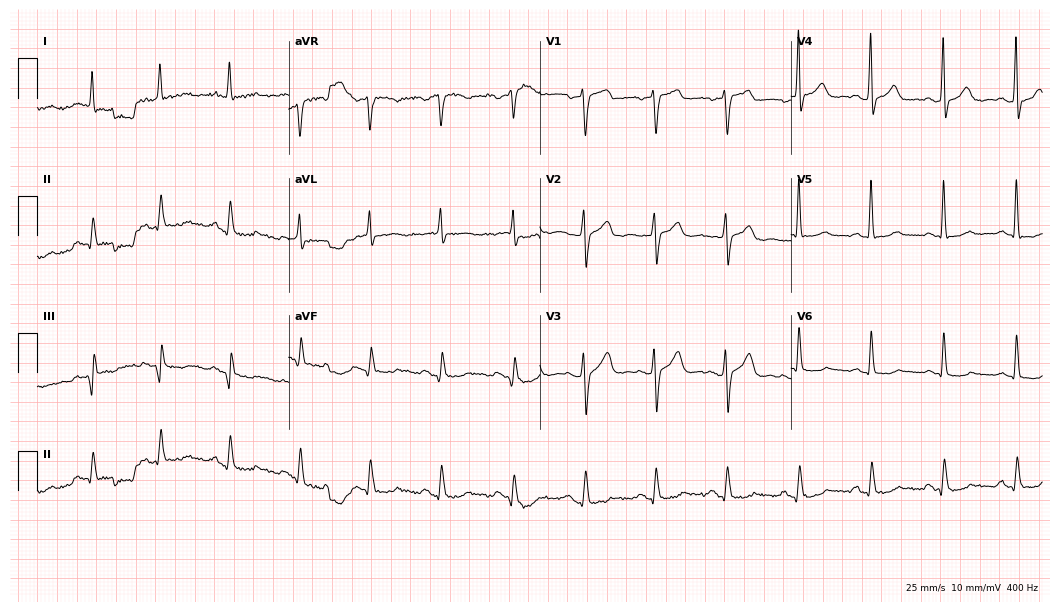
Electrocardiogram (10.2-second recording at 400 Hz), a male patient, 65 years old. Of the six screened findings (first-degree AV block, right bundle branch block, left bundle branch block, sinus bradycardia, atrial fibrillation, sinus tachycardia), none is recorded.